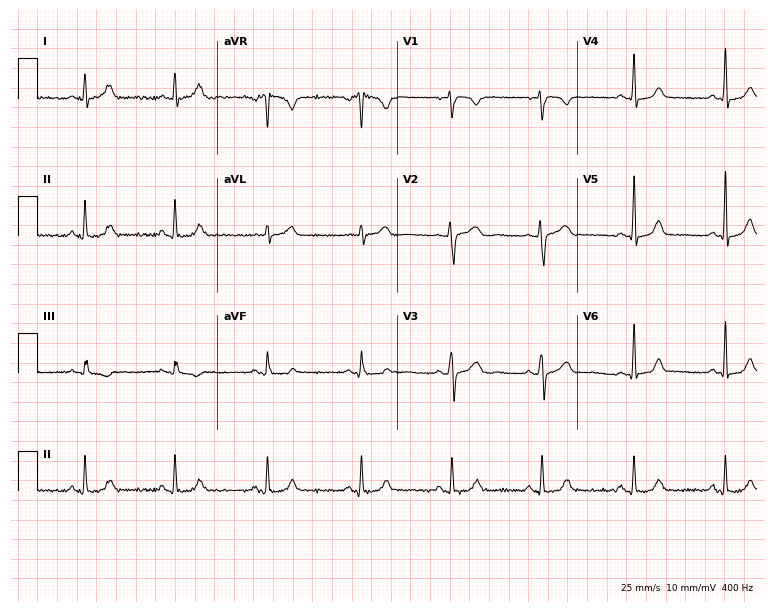
Electrocardiogram, a 47-year-old female. Overall reading on record: normal ECG.